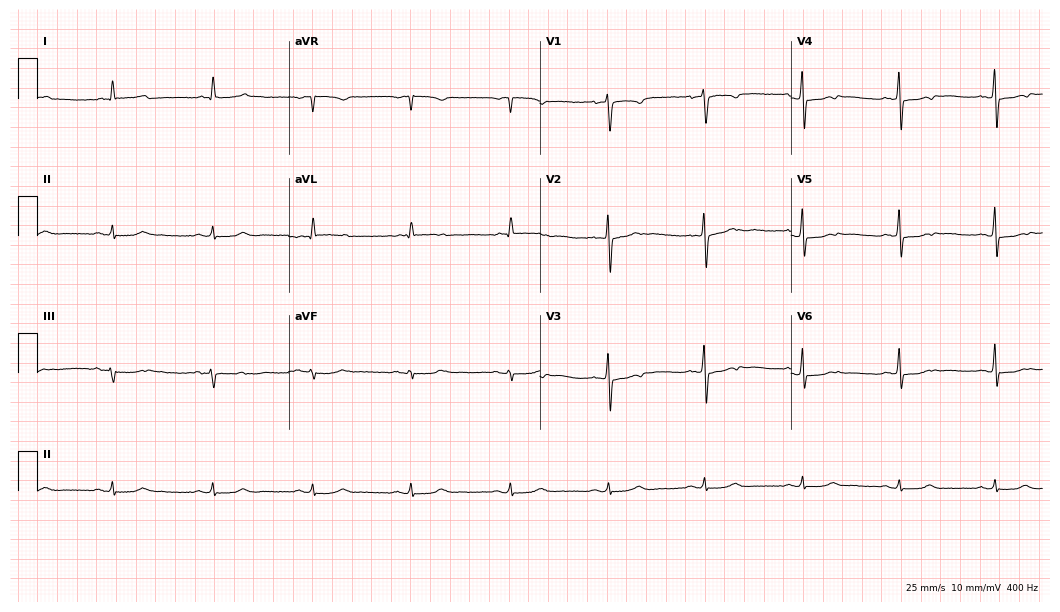
12-lead ECG from a 57-year-old woman (10.2-second recording at 400 Hz). No first-degree AV block, right bundle branch block, left bundle branch block, sinus bradycardia, atrial fibrillation or sinus tachycardia recorded for this tracing.